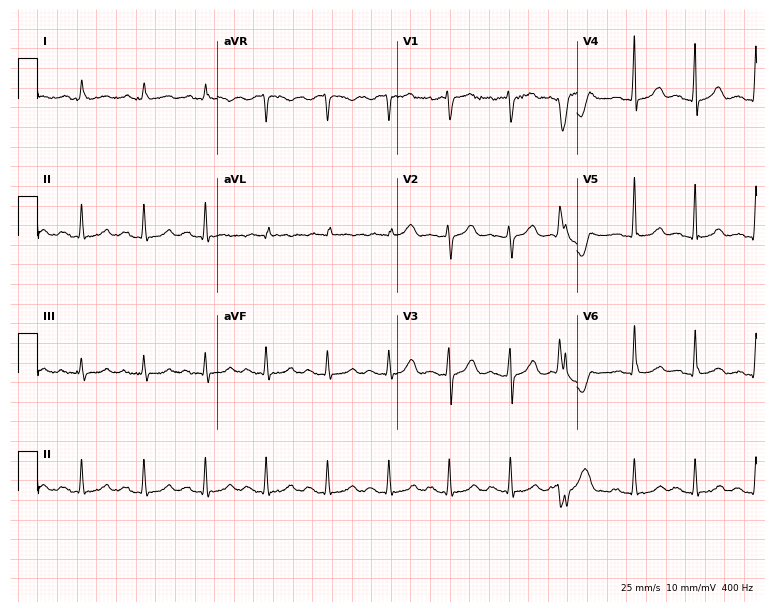
Electrocardiogram (7.3-second recording at 400 Hz), a male, 69 years old. Interpretation includes first-degree AV block.